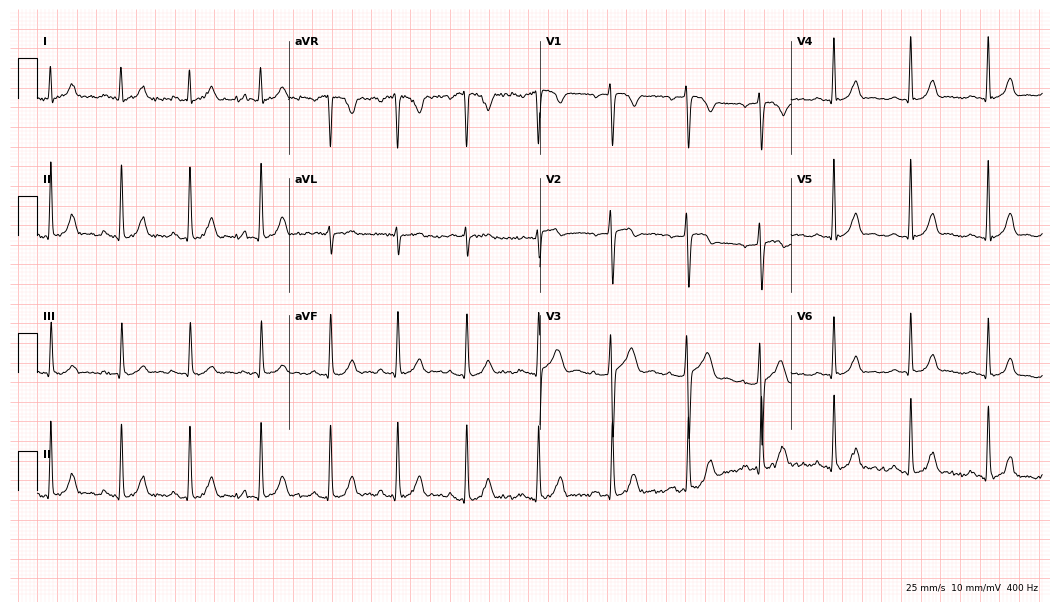
Standard 12-lead ECG recorded from a woman, 18 years old (10.2-second recording at 400 Hz). Read as a normal ECG.